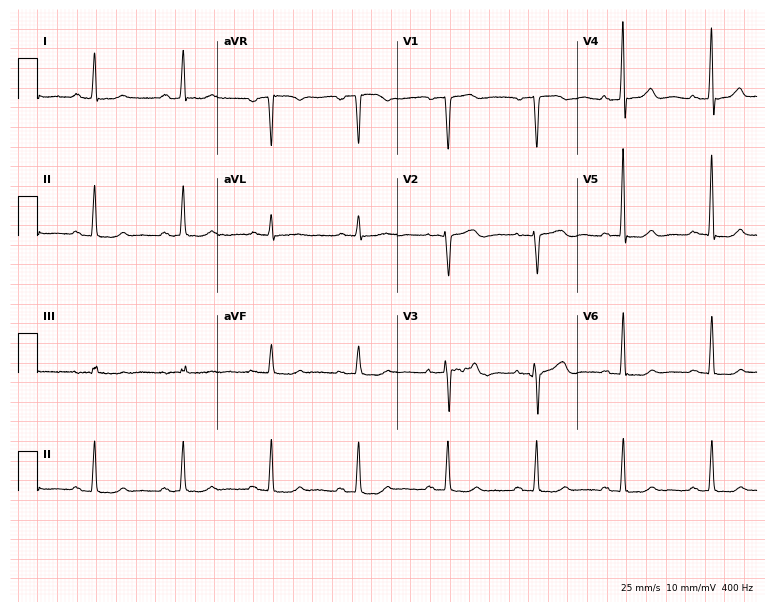
ECG (7.3-second recording at 400 Hz) — a female, 73 years old. Labelled as a normal ECG.